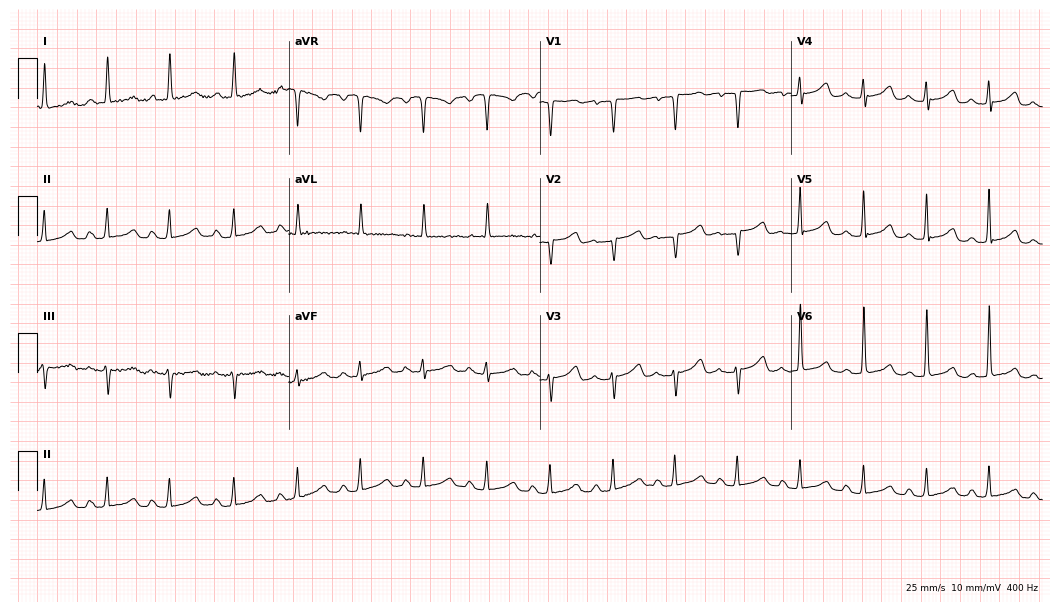
Resting 12-lead electrocardiogram. Patient: a 50-year-old female. None of these six findings is recorded: first-degree AV block, right bundle branch block, left bundle branch block, sinus bradycardia, atrial fibrillation, sinus tachycardia. Other findings, if any, are not listed.